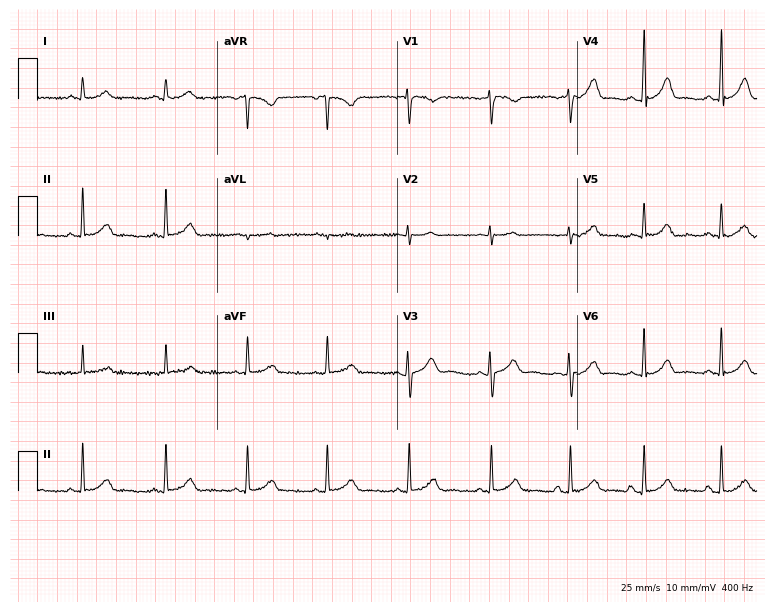
12-lead ECG from a 20-year-old woman. Recorded interpretation: within normal limits.